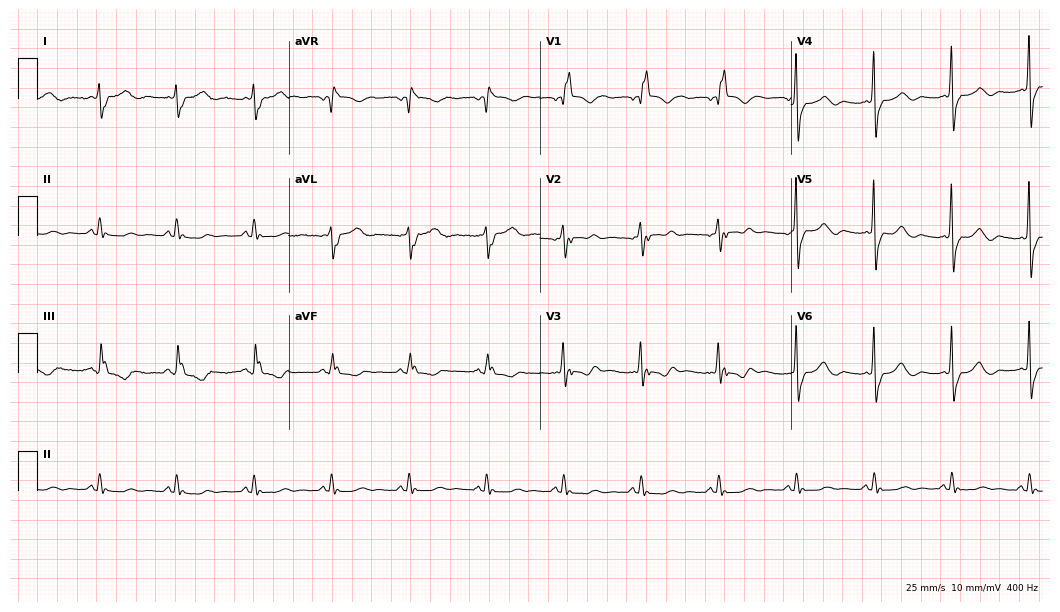
12-lead ECG (10.2-second recording at 400 Hz) from a female patient, 76 years old. Findings include right bundle branch block (RBBB).